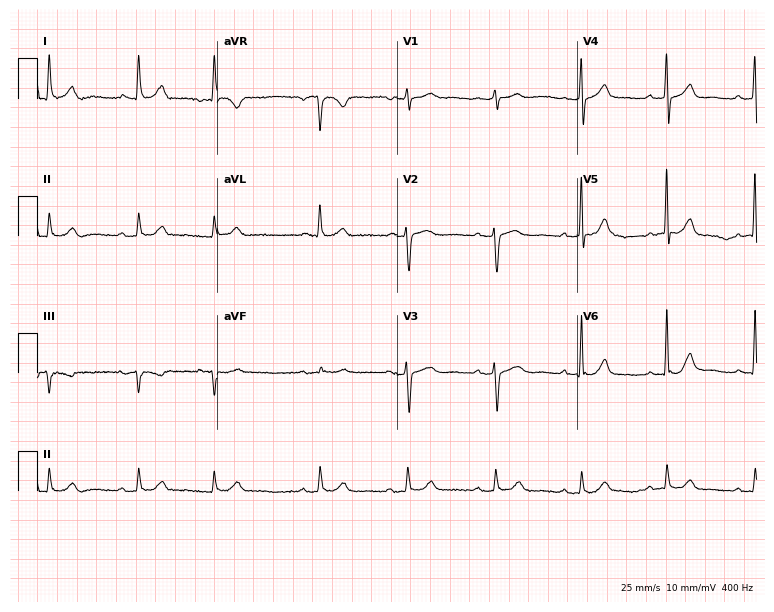
Resting 12-lead electrocardiogram (7.3-second recording at 400 Hz). Patient: a female, 66 years old. None of these six findings is recorded: first-degree AV block, right bundle branch block (RBBB), left bundle branch block (LBBB), sinus bradycardia, atrial fibrillation (AF), sinus tachycardia.